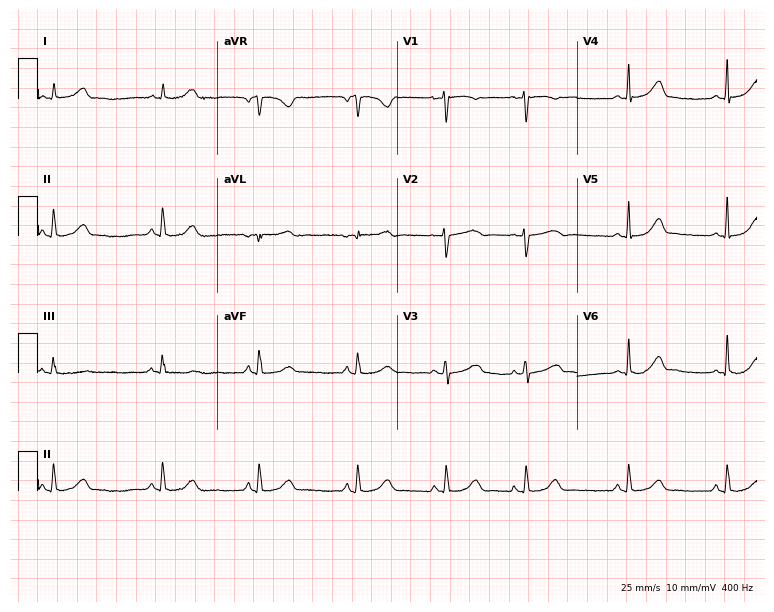
Standard 12-lead ECG recorded from a 23-year-old female patient (7.3-second recording at 400 Hz). Read as a normal ECG.